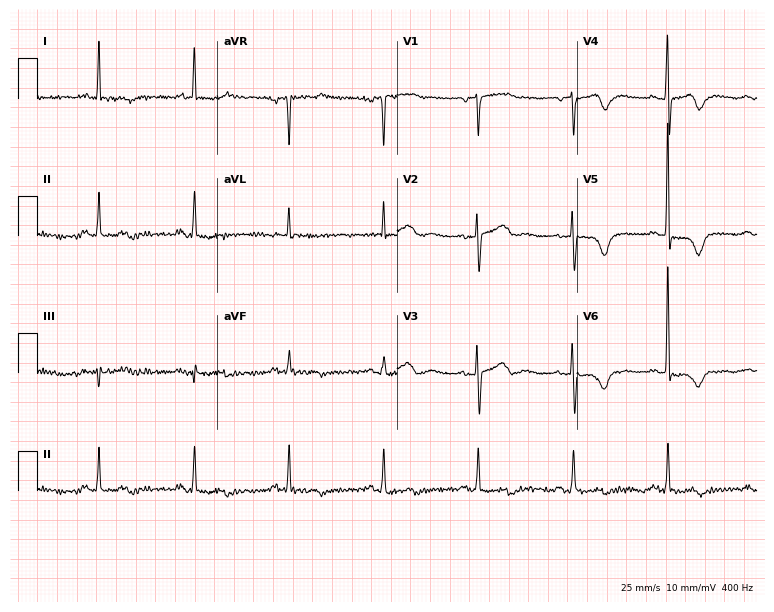
Standard 12-lead ECG recorded from a female, 75 years old (7.3-second recording at 400 Hz). None of these six findings is recorded: first-degree AV block, right bundle branch block, left bundle branch block, sinus bradycardia, atrial fibrillation, sinus tachycardia. Other findings, if any, are not listed.